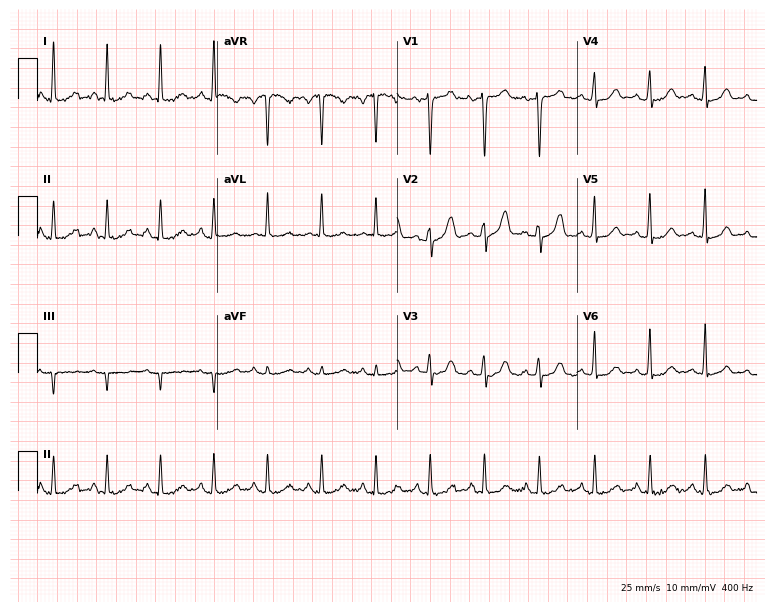
ECG (7.3-second recording at 400 Hz) — a woman, 42 years old. Findings include sinus tachycardia (a sinus rate of 100 beats per minute or more).